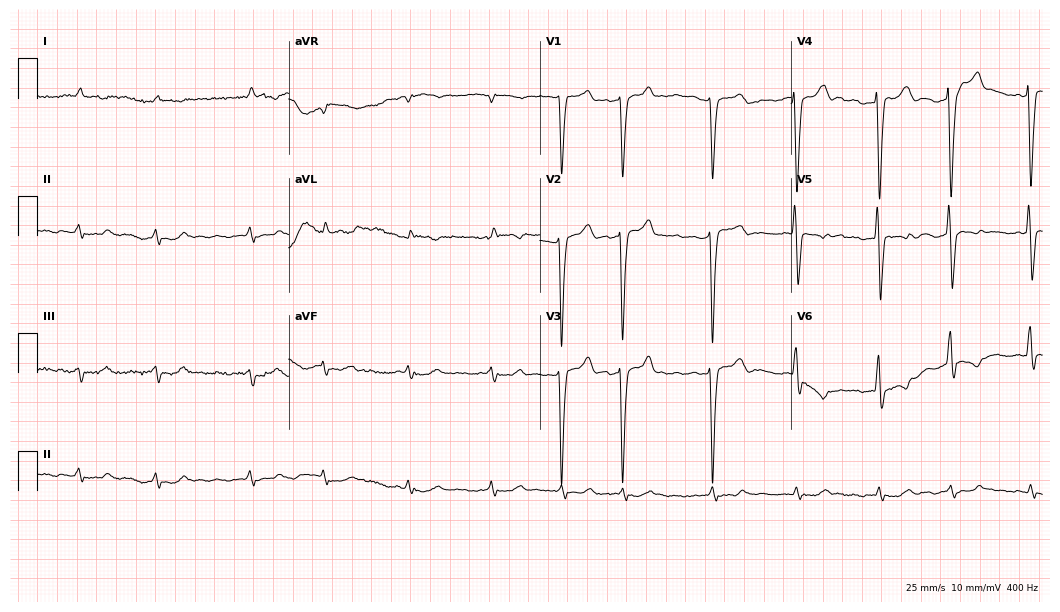
Standard 12-lead ECG recorded from a female patient, 71 years old (10.2-second recording at 400 Hz). None of these six findings is recorded: first-degree AV block, right bundle branch block, left bundle branch block, sinus bradycardia, atrial fibrillation, sinus tachycardia.